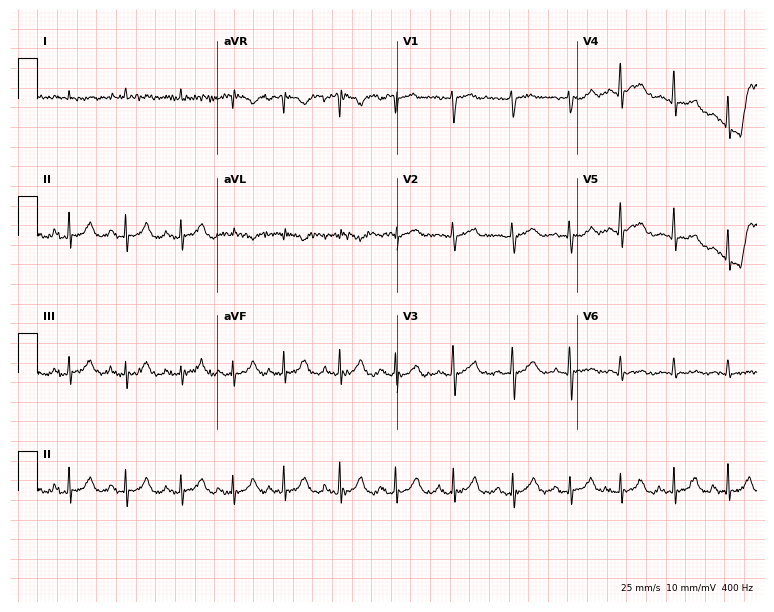
Electrocardiogram (7.3-second recording at 400 Hz), a male patient, 85 years old. Interpretation includes sinus tachycardia (a sinus rate of 100 beats per minute or more).